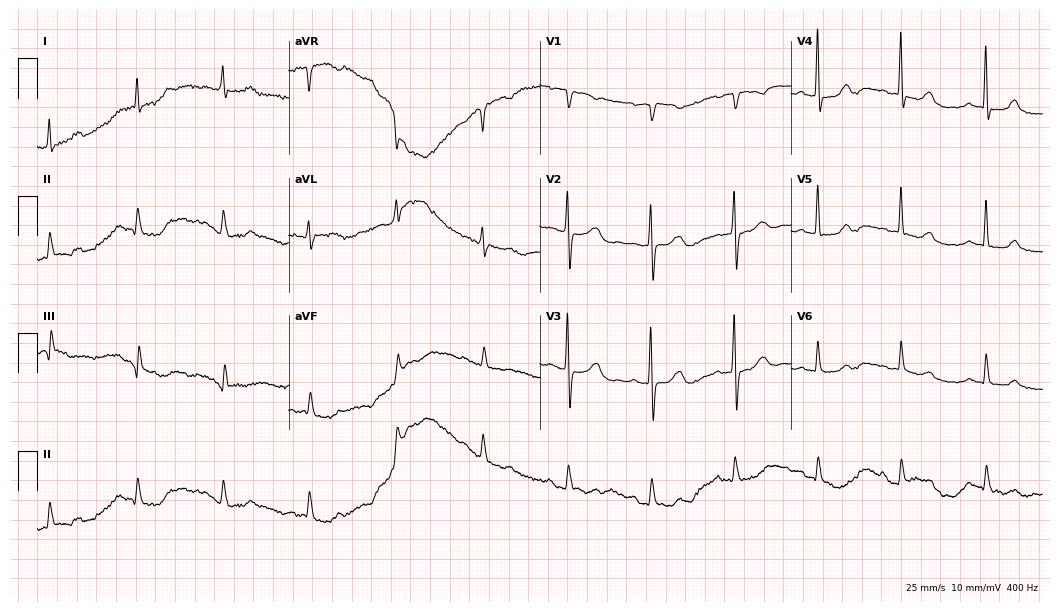
Resting 12-lead electrocardiogram. Patient: a 78-year-old woman. None of these six findings is recorded: first-degree AV block, right bundle branch block, left bundle branch block, sinus bradycardia, atrial fibrillation, sinus tachycardia.